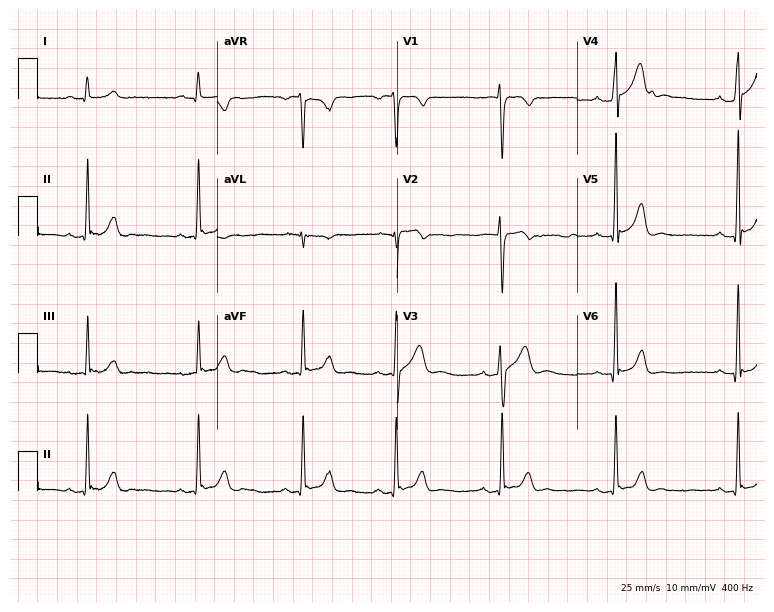
12-lead ECG from a male, 26 years old. Recorded interpretation: within normal limits.